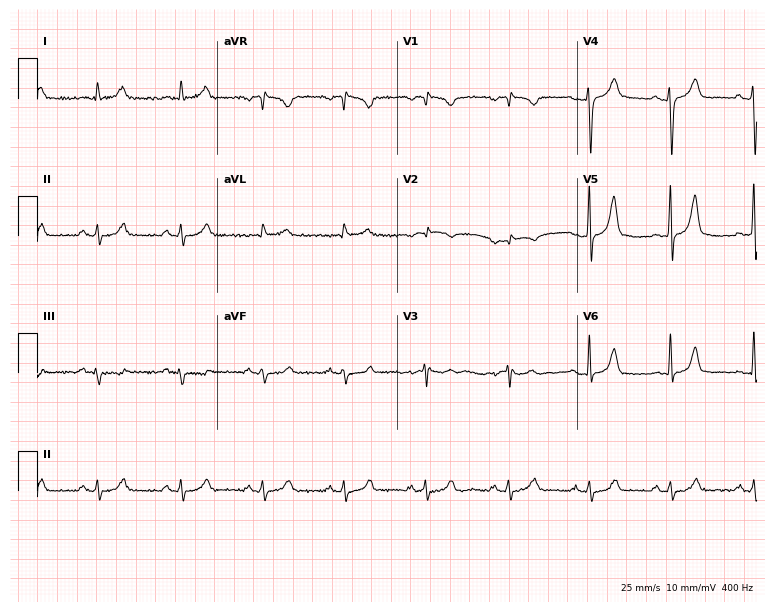
Resting 12-lead electrocardiogram (7.3-second recording at 400 Hz). Patient: a woman, 65 years old. Read as a normal ECG.